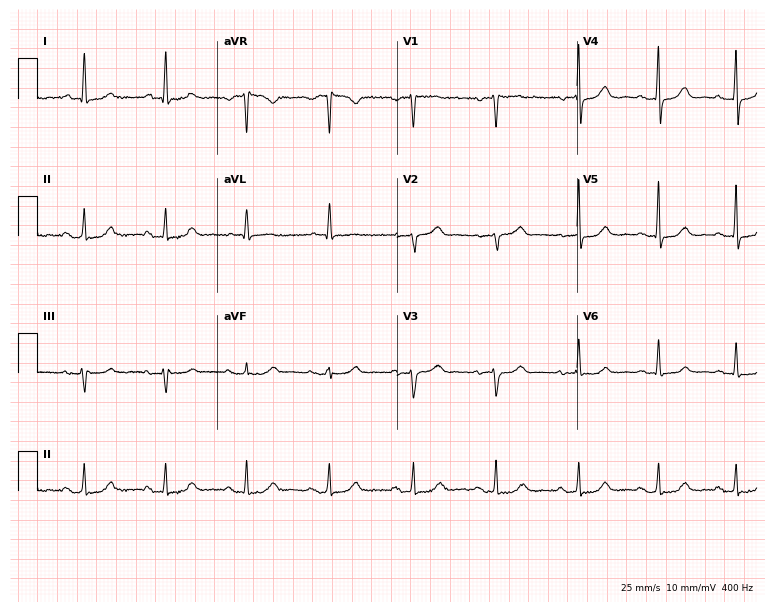
Resting 12-lead electrocardiogram. Patient: a 72-year-old woman. Read as a normal ECG.